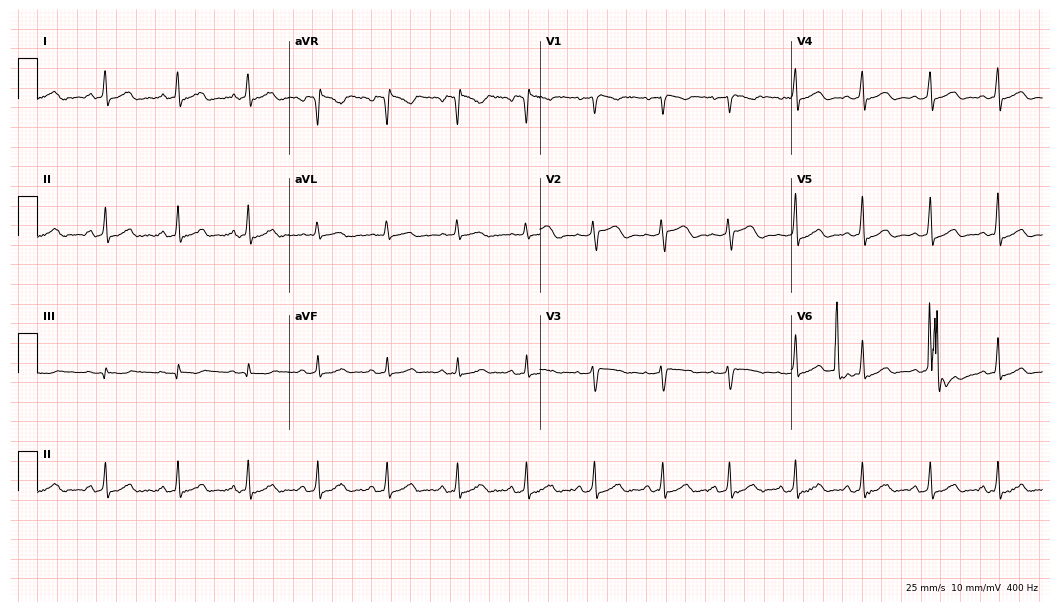
12-lead ECG from a female patient, 37 years old. Screened for six findings — first-degree AV block, right bundle branch block (RBBB), left bundle branch block (LBBB), sinus bradycardia, atrial fibrillation (AF), sinus tachycardia — none is recorded.